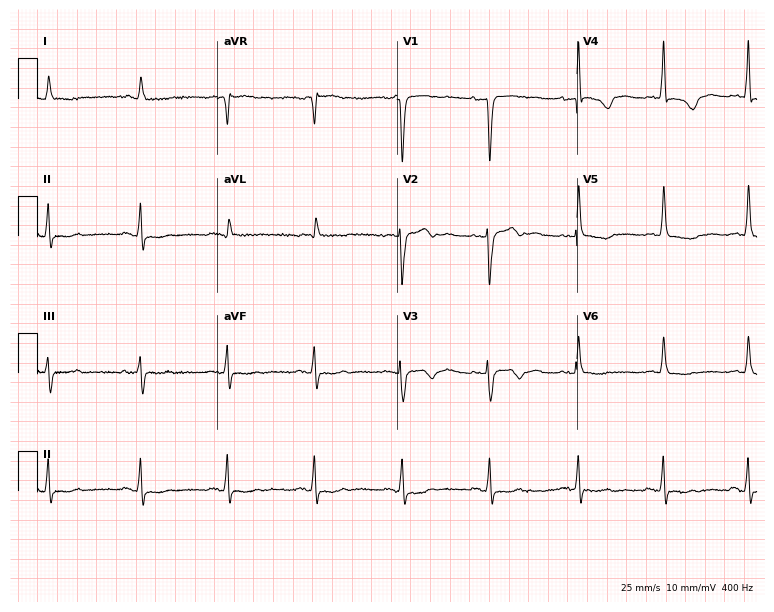
Resting 12-lead electrocardiogram. Patient: a 60-year-old female. None of these six findings is recorded: first-degree AV block, right bundle branch block, left bundle branch block, sinus bradycardia, atrial fibrillation, sinus tachycardia. Other findings, if any, are not listed.